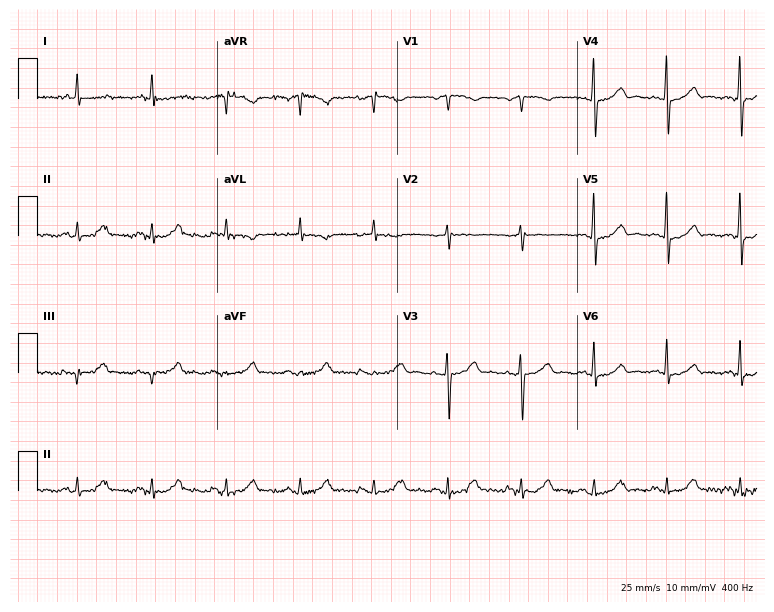
Electrocardiogram (7.3-second recording at 400 Hz), a female, 80 years old. Overall reading on record: normal ECG.